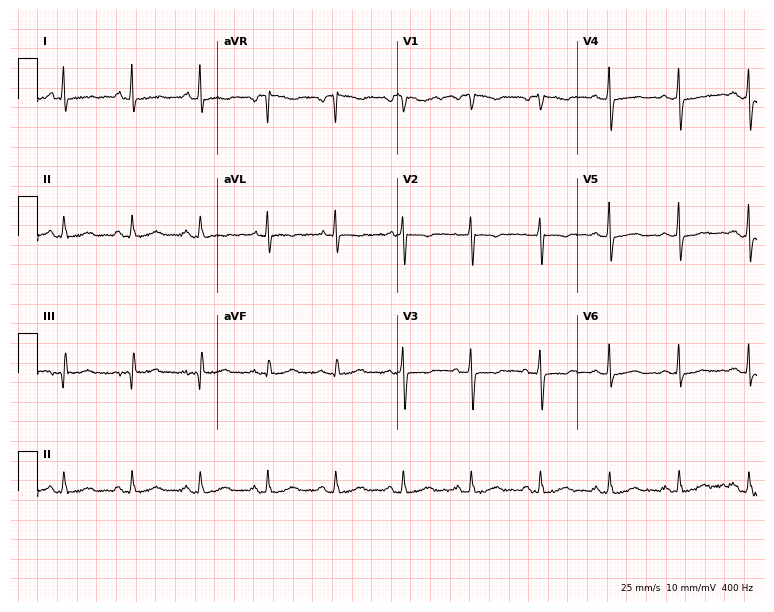
12-lead ECG (7.3-second recording at 400 Hz) from a female patient, 66 years old. Labelled as a normal ECG.